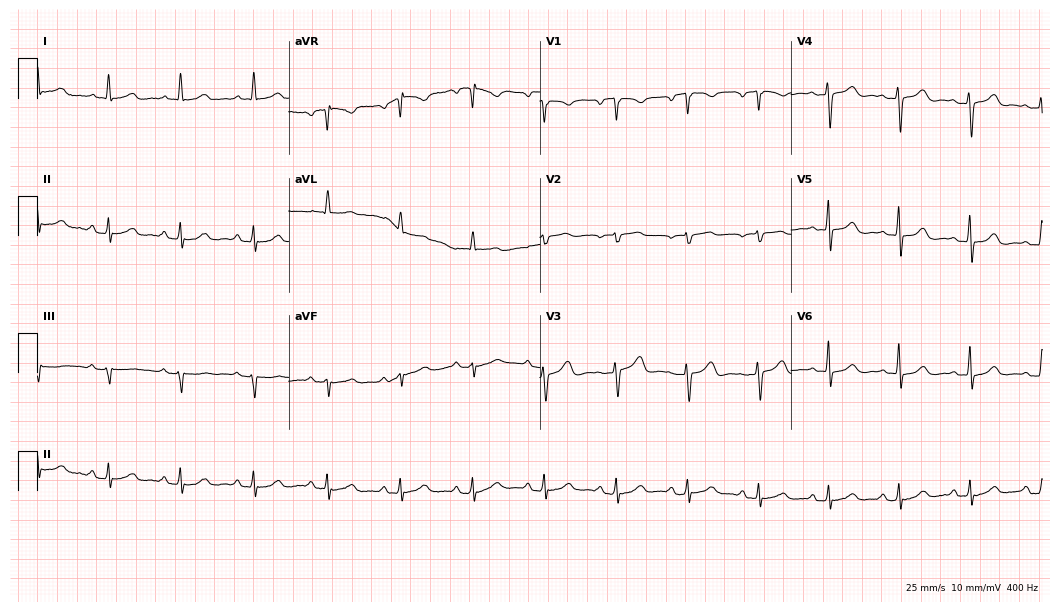
12-lead ECG (10.2-second recording at 400 Hz) from a female patient, 52 years old. Labelled as a normal ECG.